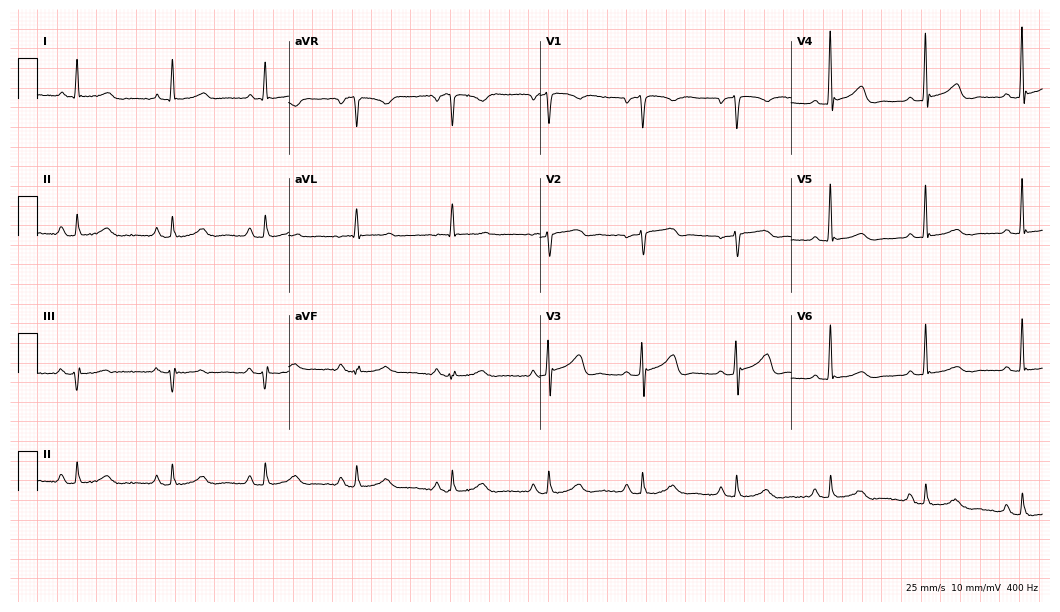
ECG — a 67-year-old female. Labelled as a normal ECG.